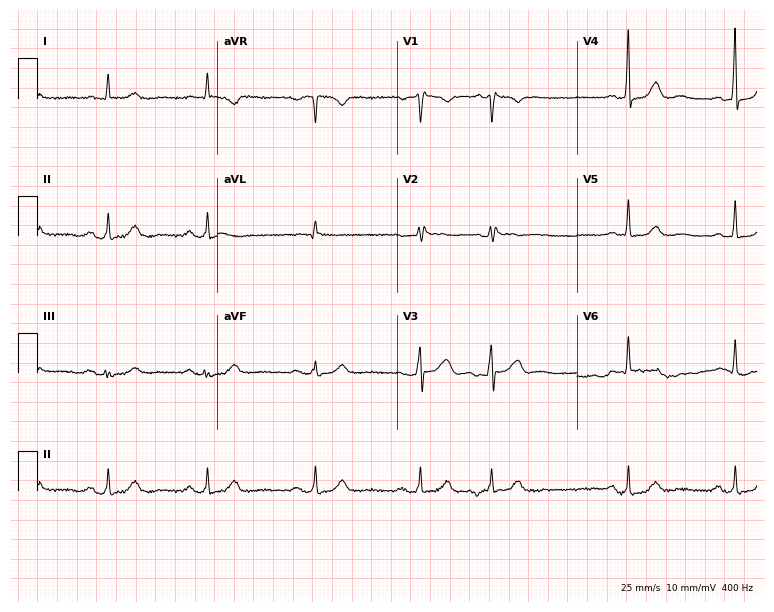
ECG (7.3-second recording at 400 Hz) — a woman, 76 years old. Screened for six findings — first-degree AV block, right bundle branch block (RBBB), left bundle branch block (LBBB), sinus bradycardia, atrial fibrillation (AF), sinus tachycardia — none is recorded.